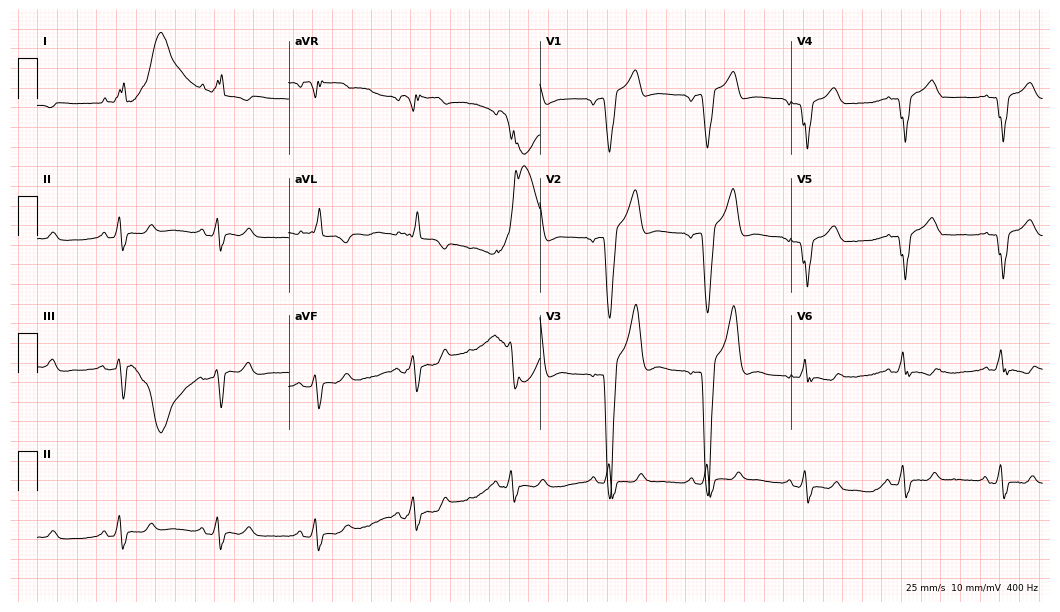
Electrocardiogram (10.2-second recording at 400 Hz), a male, 65 years old. Interpretation includes left bundle branch block.